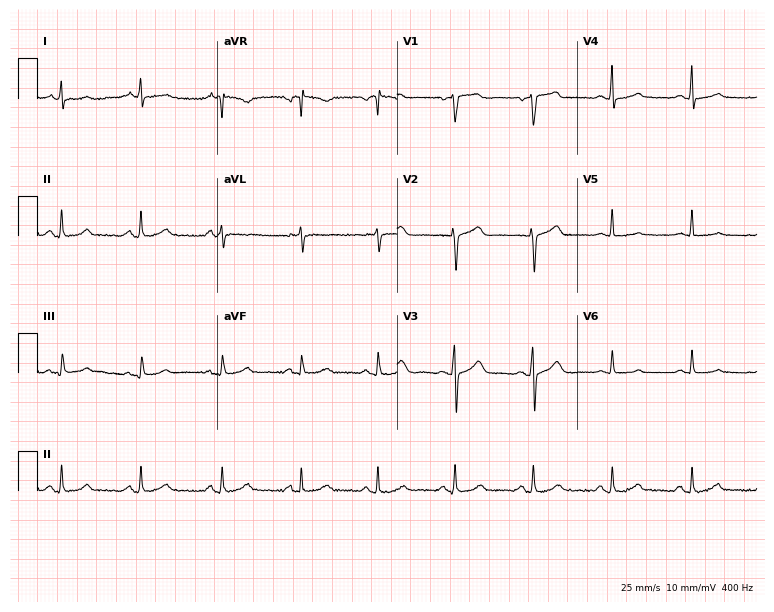
ECG (7.3-second recording at 400 Hz) — a 44-year-old male patient. Screened for six findings — first-degree AV block, right bundle branch block (RBBB), left bundle branch block (LBBB), sinus bradycardia, atrial fibrillation (AF), sinus tachycardia — none is recorded.